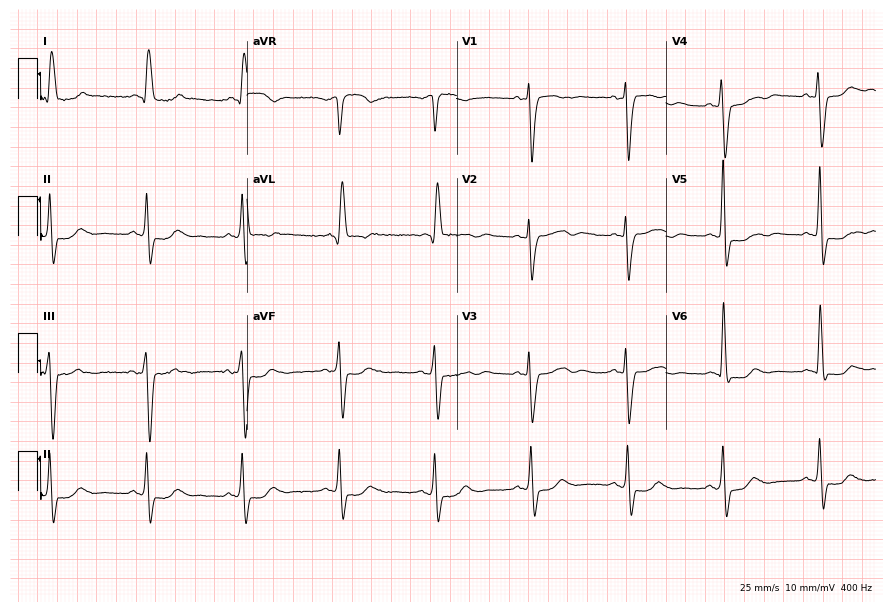
Electrocardiogram, a female, 80 years old. Interpretation includes left bundle branch block.